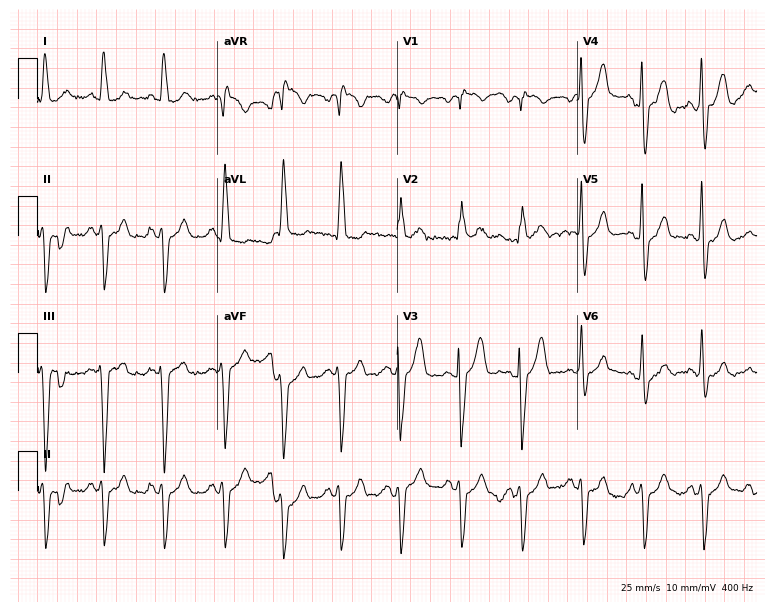
12-lead ECG (7.3-second recording at 400 Hz) from an 88-year-old male patient. Findings include right bundle branch block (RBBB).